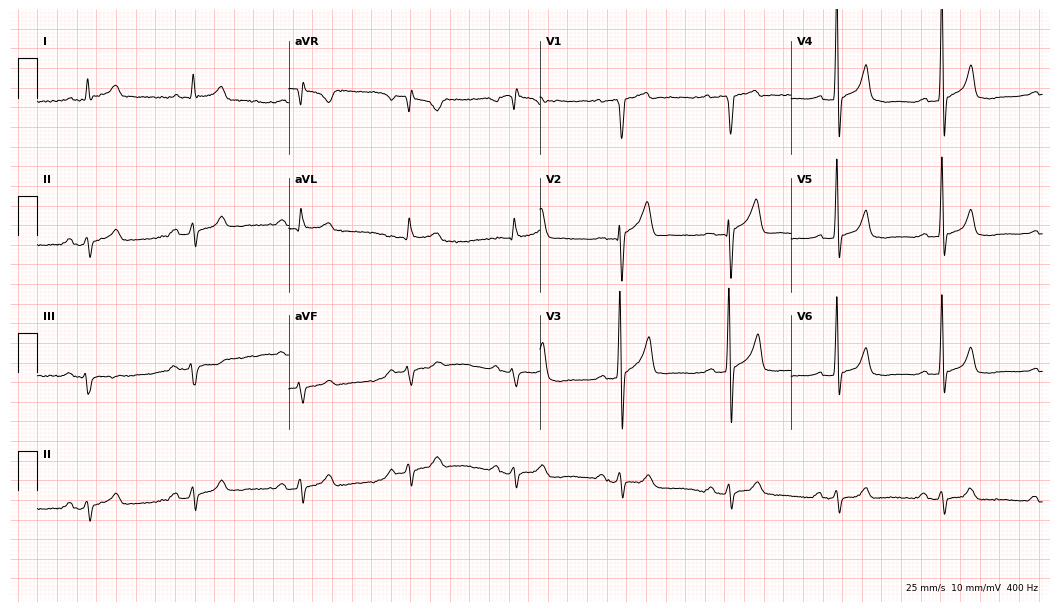
Electrocardiogram (10.2-second recording at 400 Hz), a man, 62 years old. Of the six screened findings (first-degree AV block, right bundle branch block, left bundle branch block, sinus bradycardia, atrial fibrillation, sinus tachycardia), none is recorded. Findings outside these six are not listed.